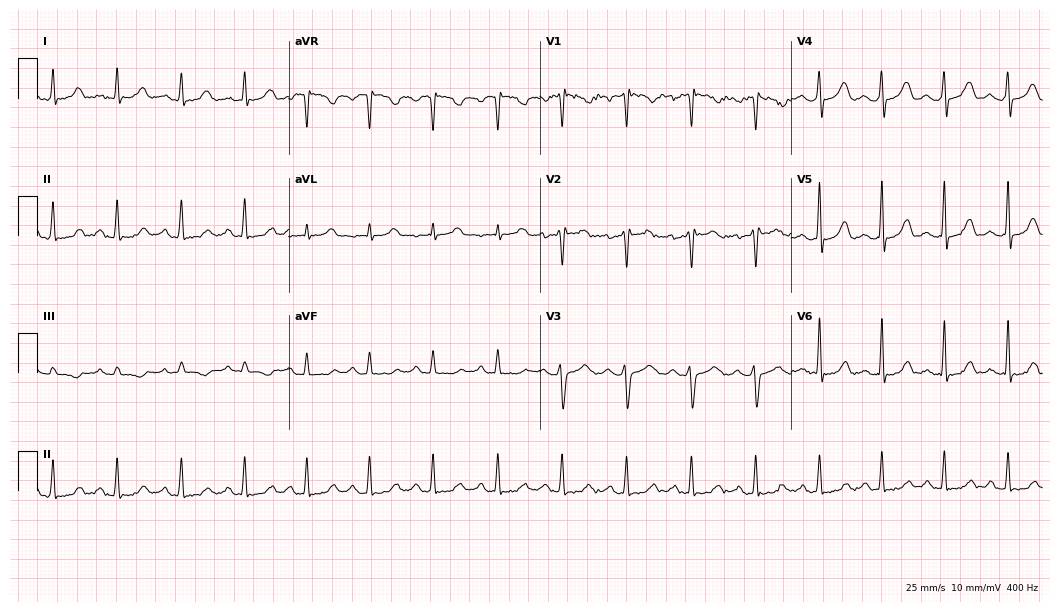
Resting 12-lead electrocardiogram. Patient: a female, 53 years old. None of these six findings is recorded: first-degree AV block, right bundle branch block, left bundle branch block, sinus bradycardia, atrial fibrillation, sinus tachycardia.